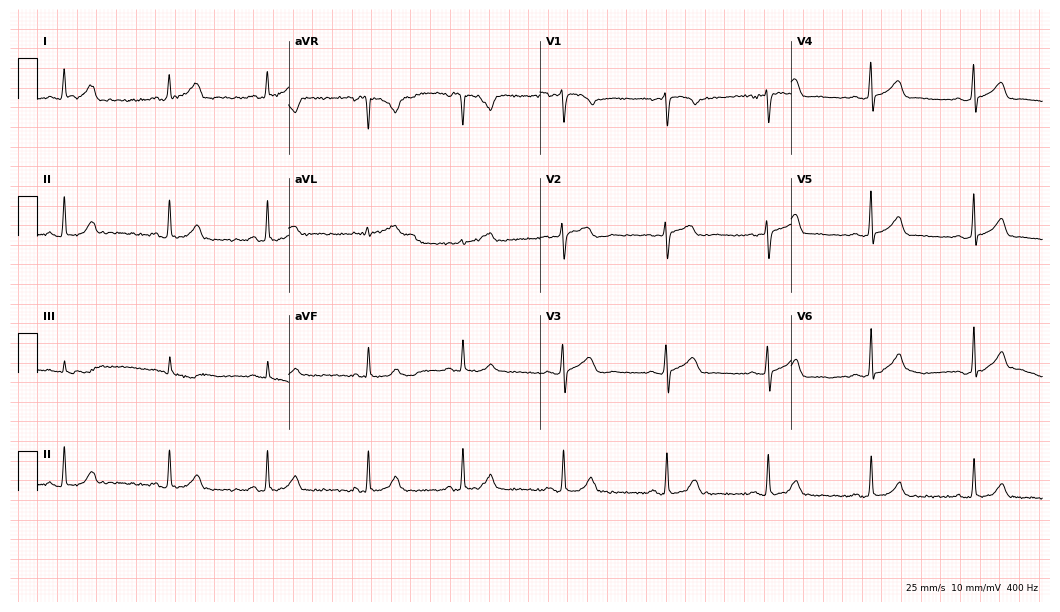
Resting 12-lead electrocardiogram. Patient: a 40-year-old female. None of these six findings is recorded: first-degree AV block, right bundle branch block, left bundle branch block, sinus bradycardia, atrial fibrillation, sinus tachycardia. Other findings, if any, are not listed.